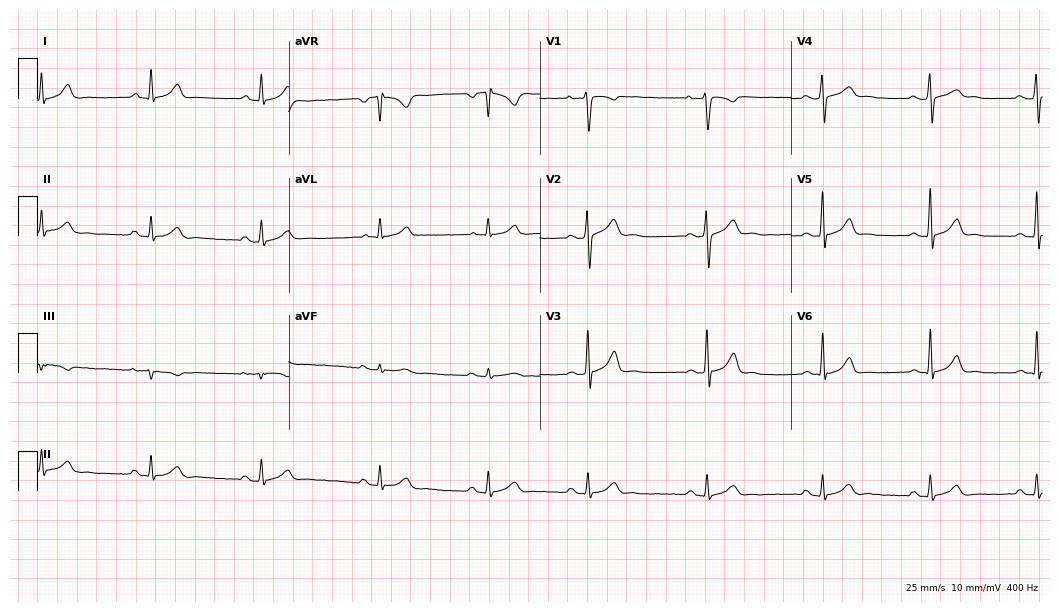
12-lead ECG from a 28-year-old male patient. Screened for six findings — first-degree AV block, right bundle branch block, left bundle branch block, sinus bradycardia, atrial fibrillation, sinus tachycardia — none is recorded.